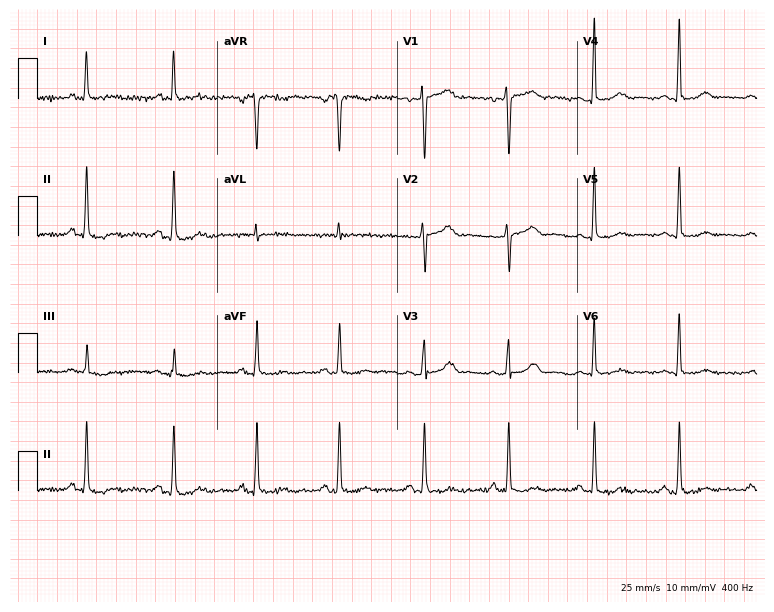
12-lead ECG from a 47-year-old female. Screened for six findings — first-degree AV block, right bundle branch block (RBBB), left bundle branch block (LBBB), sinus bradycardia, atrial fibrillation (AF), sinus tachycardia — none is recorded. Only these six findings were labelled.